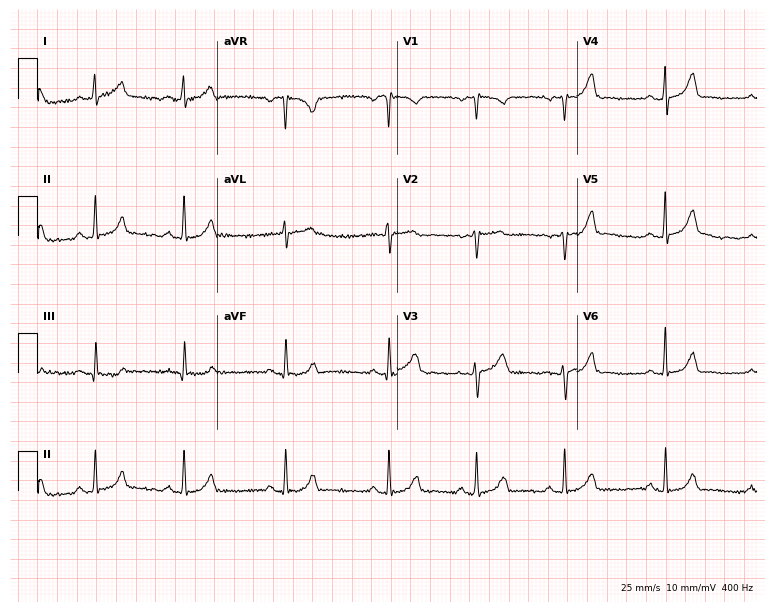
Electrocardiogram, a female patient, 50 years old. Overall reading on record: normal ECG.